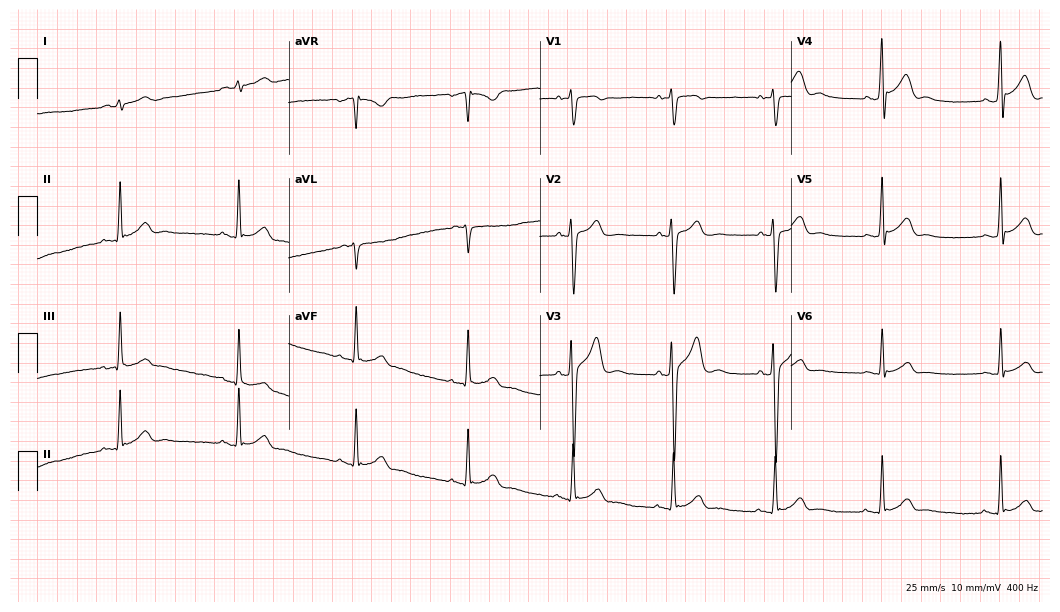
Resting 12-lead electrocardiogram. Patient: a 24-year-old male. Read as a normal ECG.